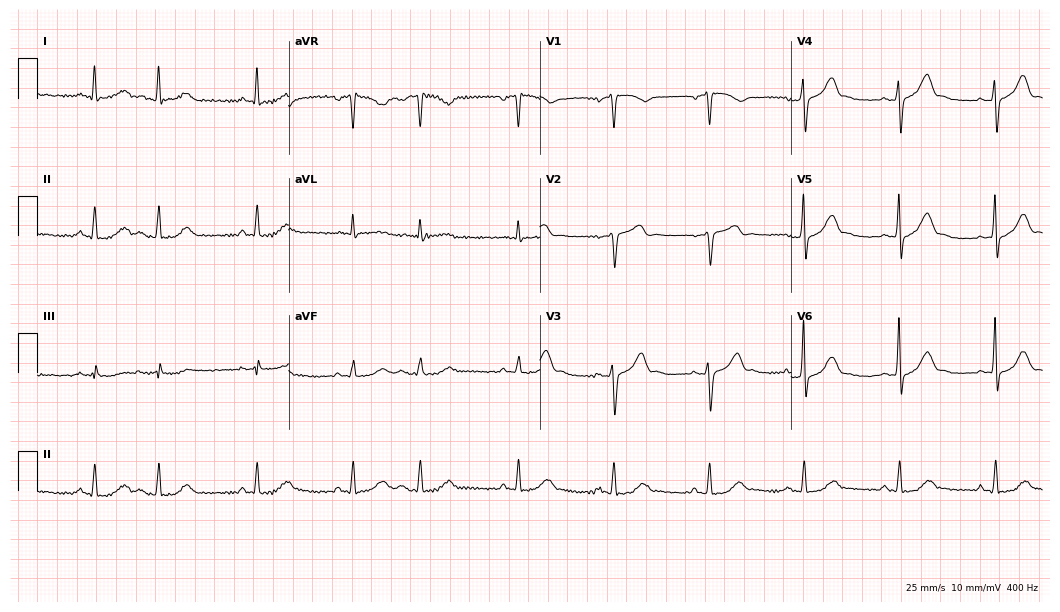
12-lead ECG from a 72-year-old male. No first-degree AV block, right bundle branch block, left bundle branch block, sinus bradycardia, atrial fibrillation or sinus tachycardia recorded for this tracing.